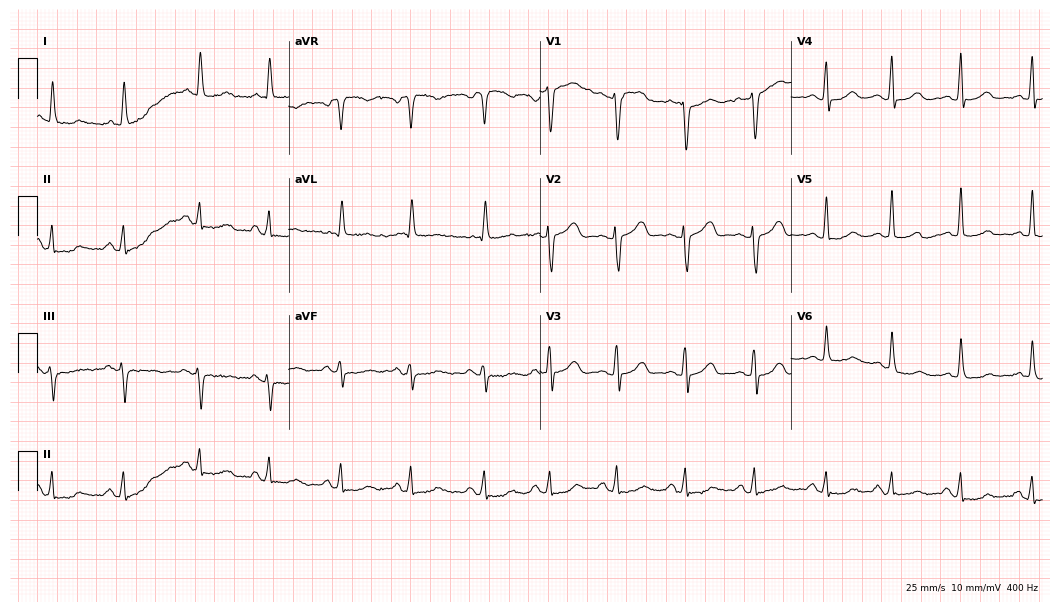
Electrocardiogram (10.2-second recording at 400 Hz), a female, 59 years old. Overall reading on record: normal ECG.